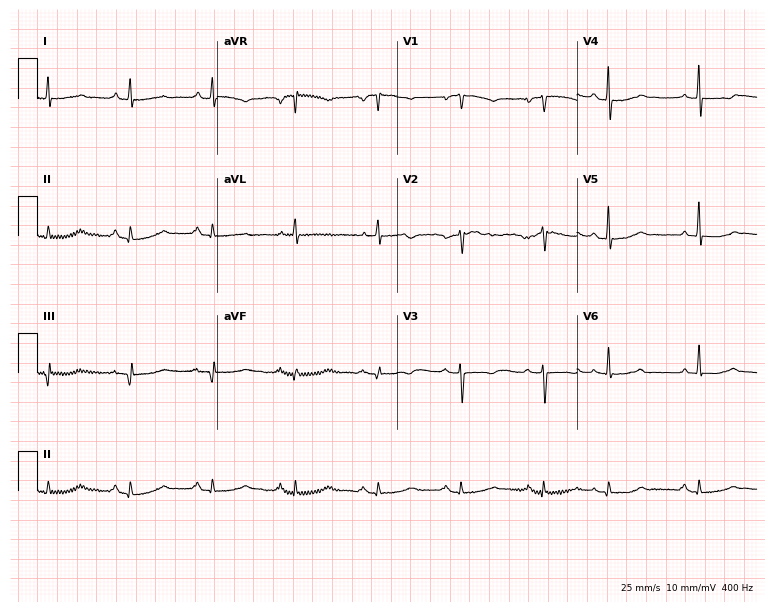
ECG — a woman, 82 years old. Labelled as a normal ECG.